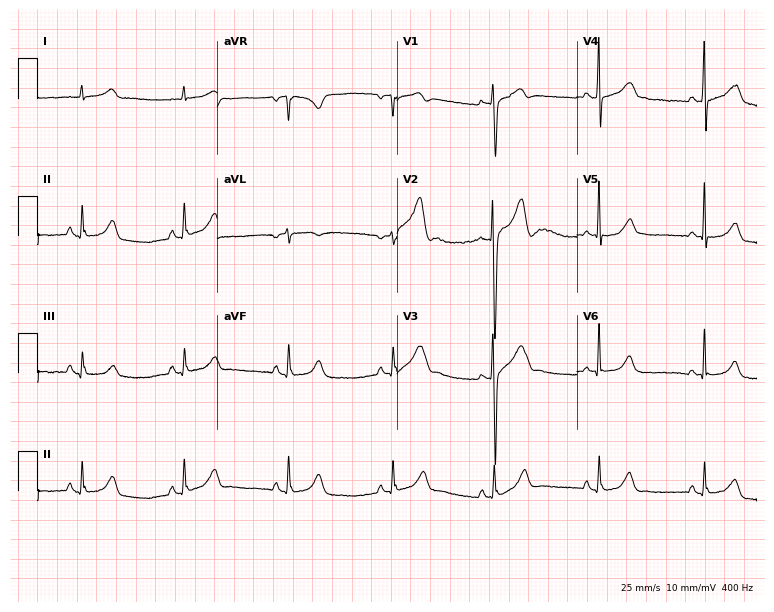
ECG — an 18-year-old man. Labelled as a normal ECG.